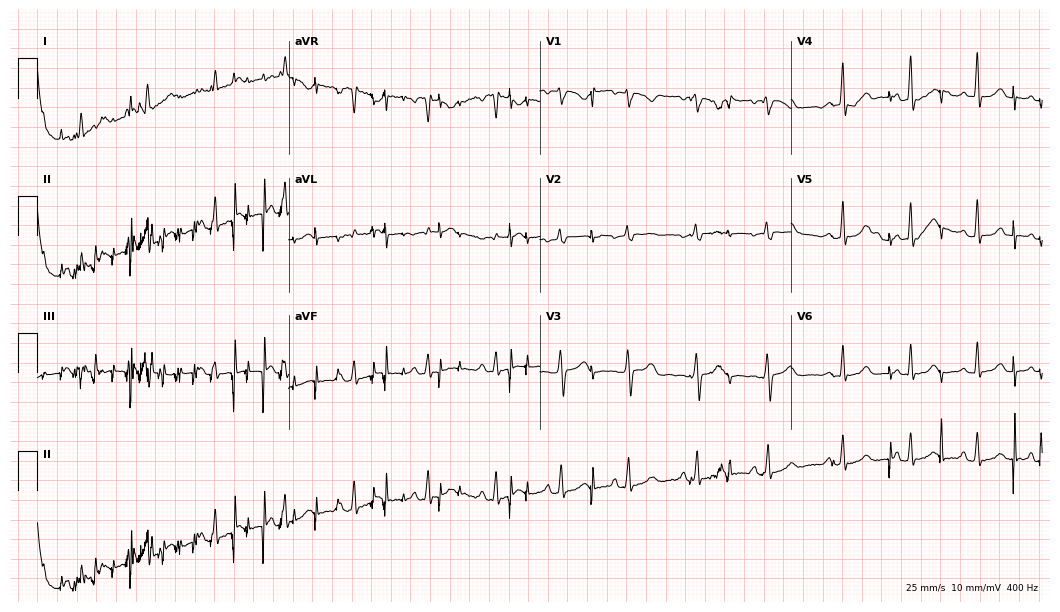
Electrocardiogram, a woman, 30 years old. Of the six screened findings (first-degree AV block, right bundle branch block, left bundle branch block, sinus bradycardia, atrial fibrillation, sinus tachycardia), none is recorded. Other findings, if any, are not listed.